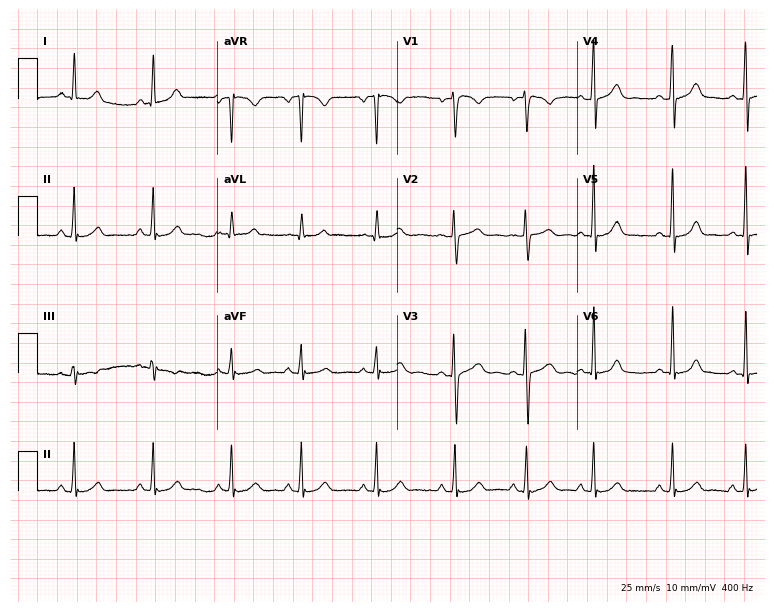
Standard 12-lead ECG recorded from a 20-year-old woman. Read as a normal ECG.